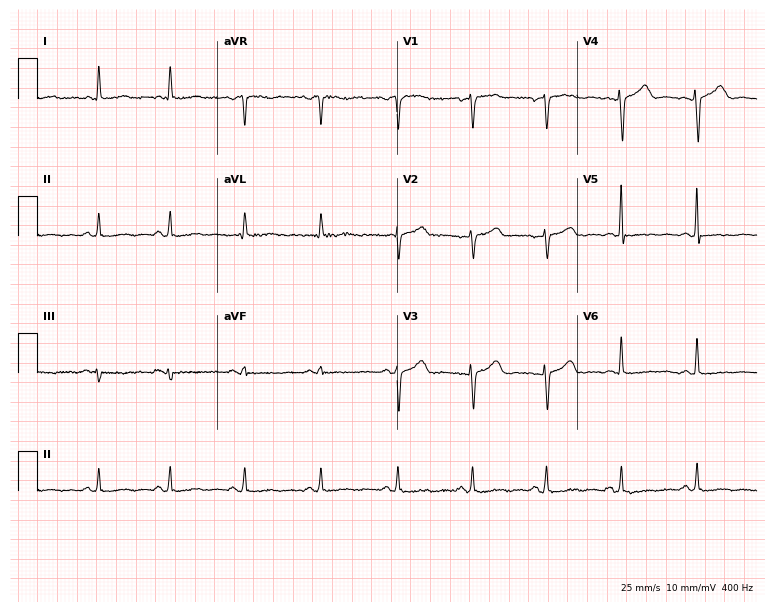
12-lead ECG from a female patient, 38 years old. Screened for six findings — first-degree AV block, right bundle branch block, left bundle branch block, sinus bradycardia, atrial fibrillation, sinus tachycardia — none is recorded. Findings outside these six are not listed.